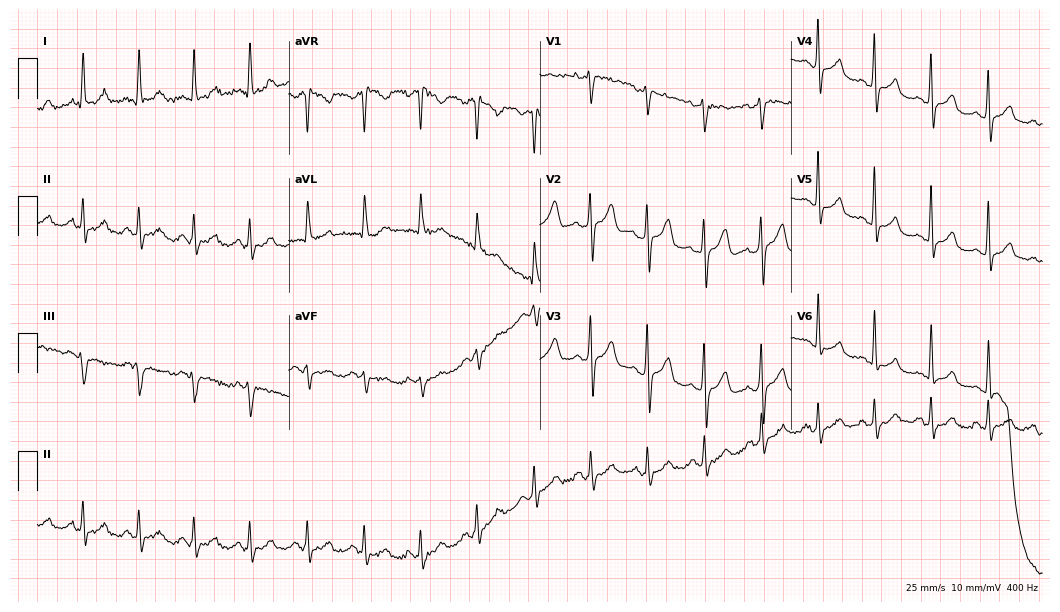
12-lead ECG (10.2-second recording at 400 Hz) from a 37-year-old woman. Screened for six findings — first-degree AV block, right bundle branch block, left bundle branch block, sinus bradycardia, atrial fibrillation, sinus tachycardia — none is recorded.